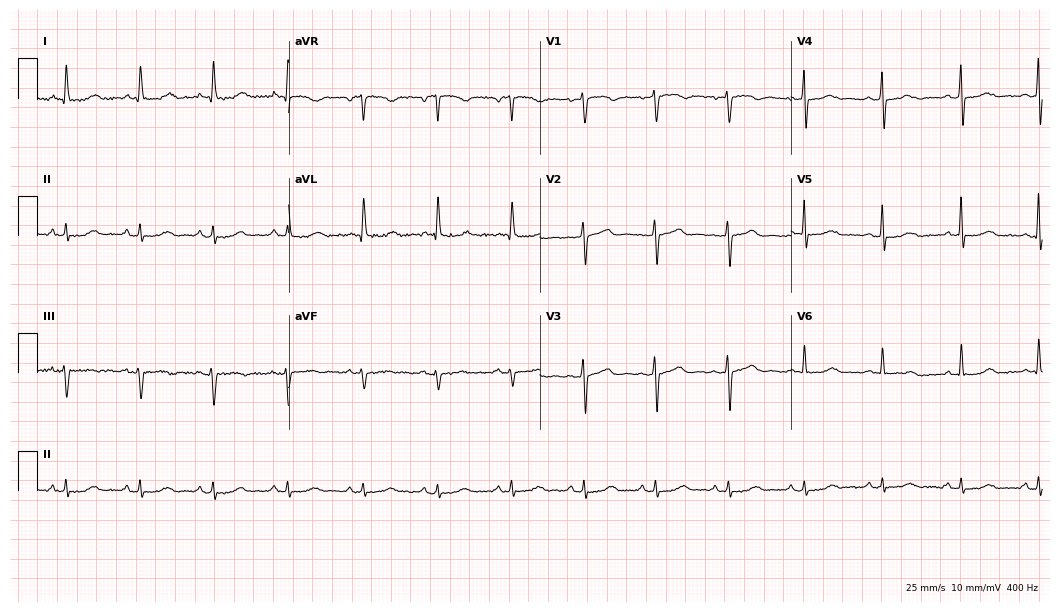
Standard 12-lead ECG recorded from a female, 84 years old (10.2-second recording at 400 Hz). None of these six findings is recorded: first-degree AV block, right bundle branch block (RBBB), left bundle branch block (LBBB), sinus bradycardia, atrial fibrillation (AF), sinus tachycardia. Findings outside these six are not listed.